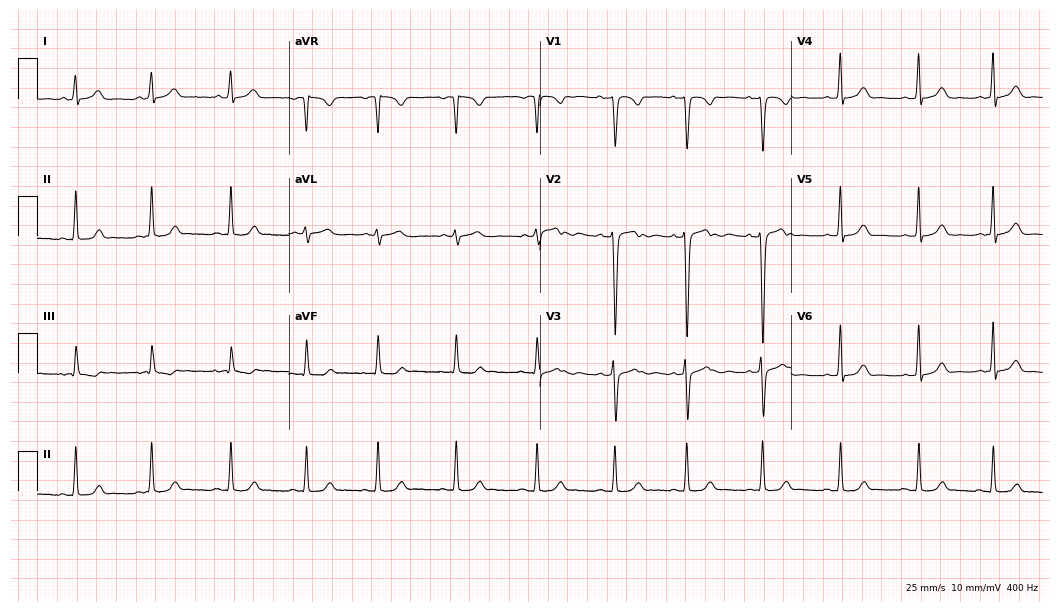
ECG (10.2-second recording at 400 Hz) — a female, 28 years old. Labelled as a normal ECG.